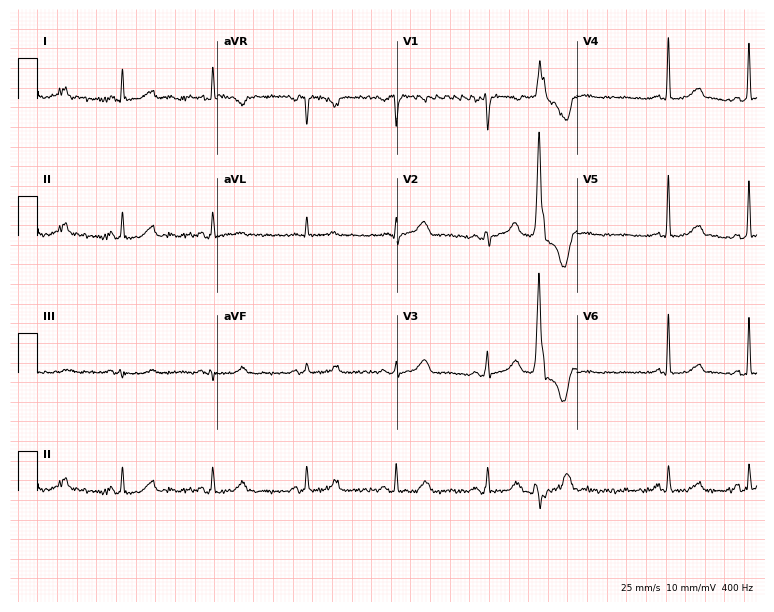
12-lead ECG (7.3-second recording at 400 Hz) from a 44-year-old woman. Screened for six findings — first-degree AV block, right bundle branch block, left bundle branch block, sinus bradycardia, atrial fibrillation, sinus tachycardia — none is recorded.